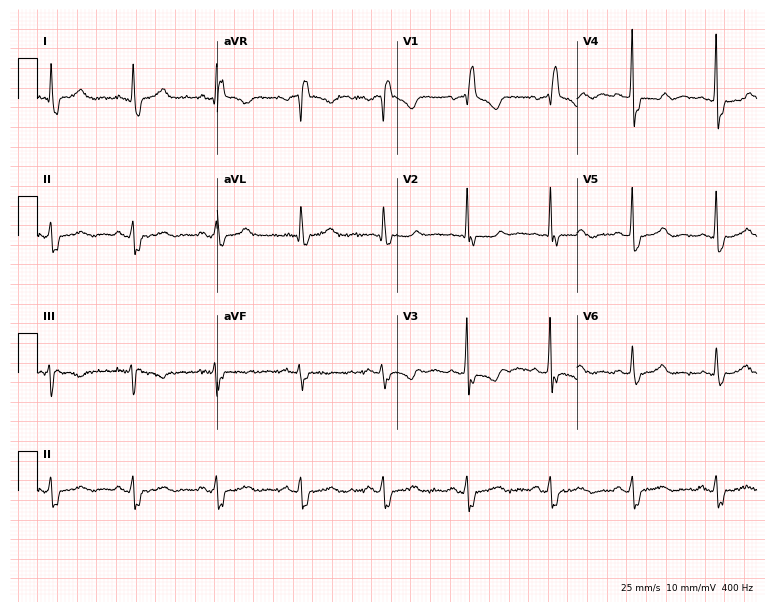
12-lead ECG (7.3-second recording at 400 Hz) from a 57-year-old female patient. Screened for six findings — first-degree AV block, right bundle branch block, left bundle branch block, sinus bradycardia, atrial fibrillation, sinus tachycardia — none is recorded.